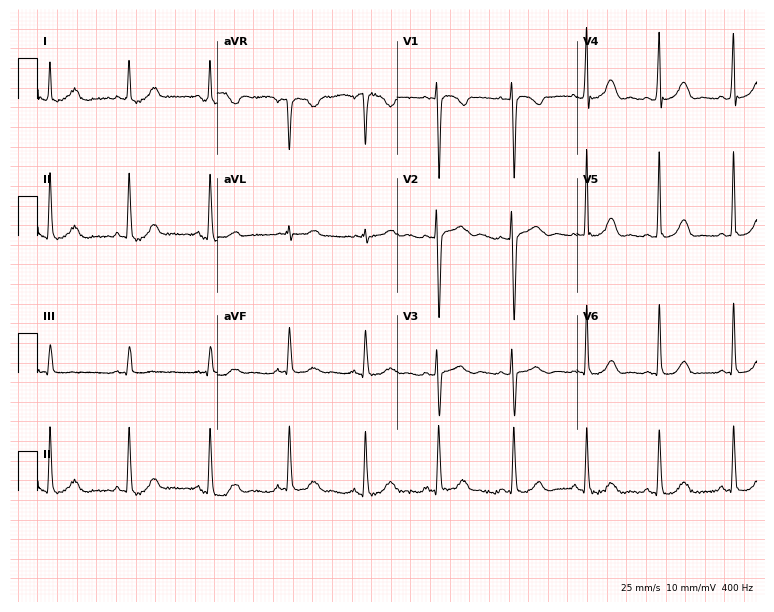
12-lead ECG from a 44-year-old female (7.3-second recording at 400 Hz). No first-degree AV block, right bundle branch block, left bundle branch block, sinus bradycardia, atrial fibrillation or sinus tachycardia recorded for this tracing. Findings outside these six are not listed.